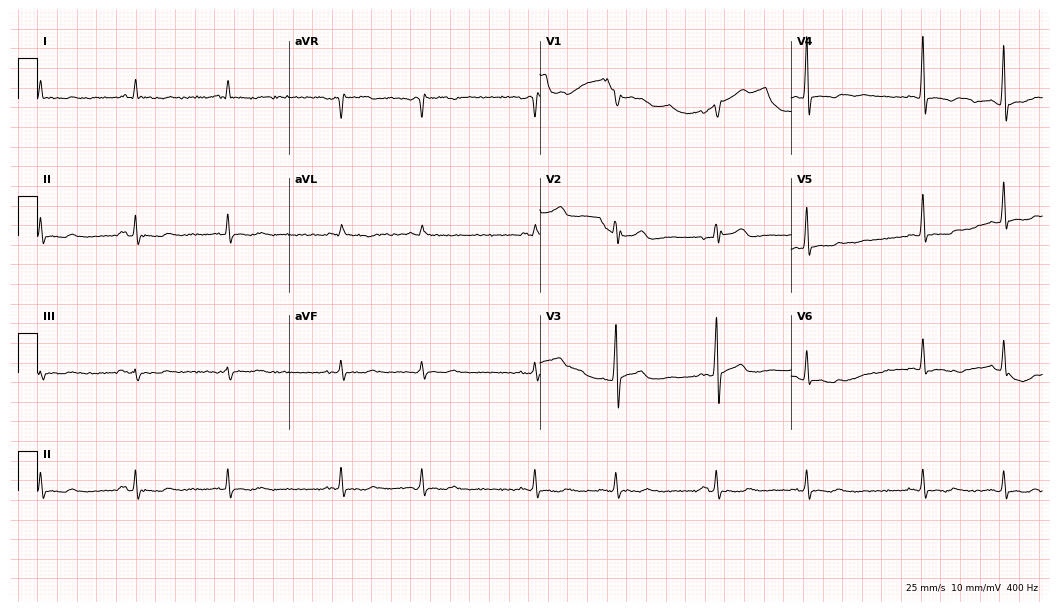
ECG (10.2-second recording at 400 Hz) — a male patient, 62 years old. Screened for six findings — first-degree AV block, right bundle branch block, left bundle branch block, sinus bradycardia, atrial fibrillation, sinus tachycardia — none is recorded. Only these six findings were labelled.